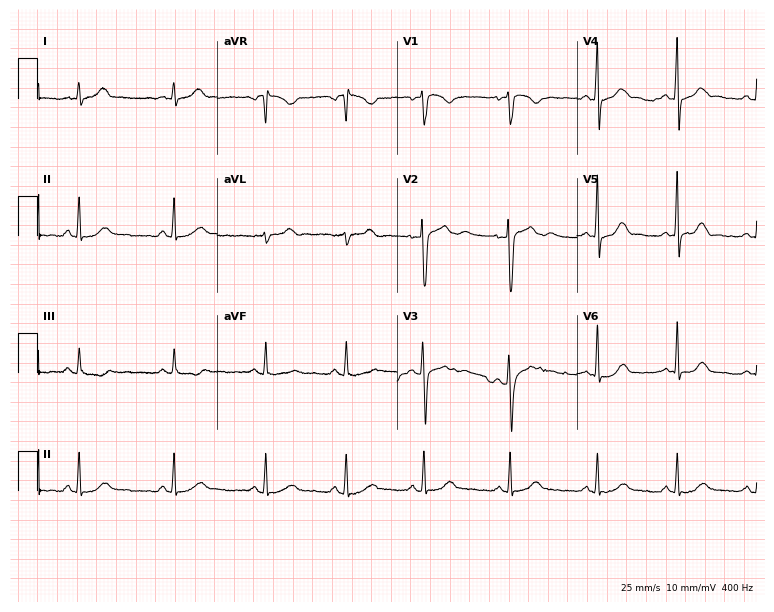
Resting 12-lead electrocardiogram (7.3-second recording at 400 Hz). Patient: a 20-year-old female. Read as a normal ECG.